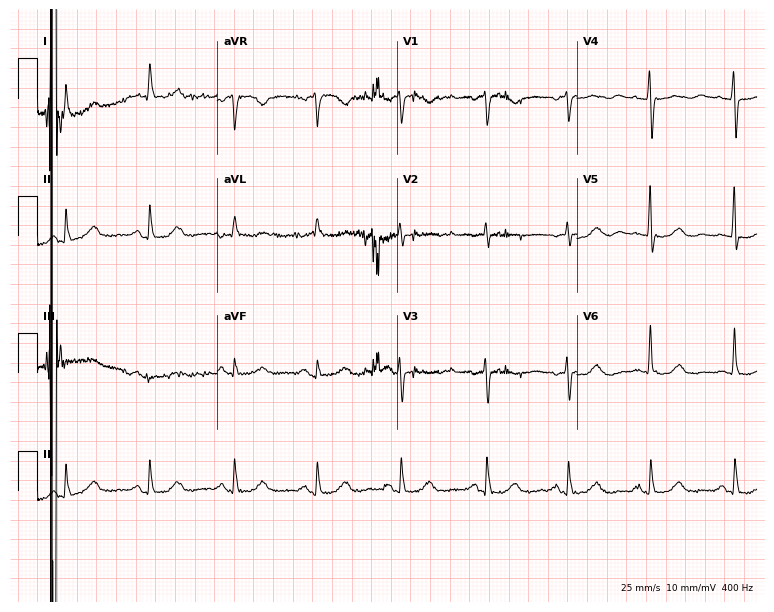
12-lead ECG (7.3-second recording at 400 Hz) from a female, 71 years old. Screened for six findings — first-degree AV block, right bundle branch block, left bundle branch block, sinus bradycardia, atrial fibrillation, sinus tachycardia — none is recorded. Other findings, if any, are not listed.